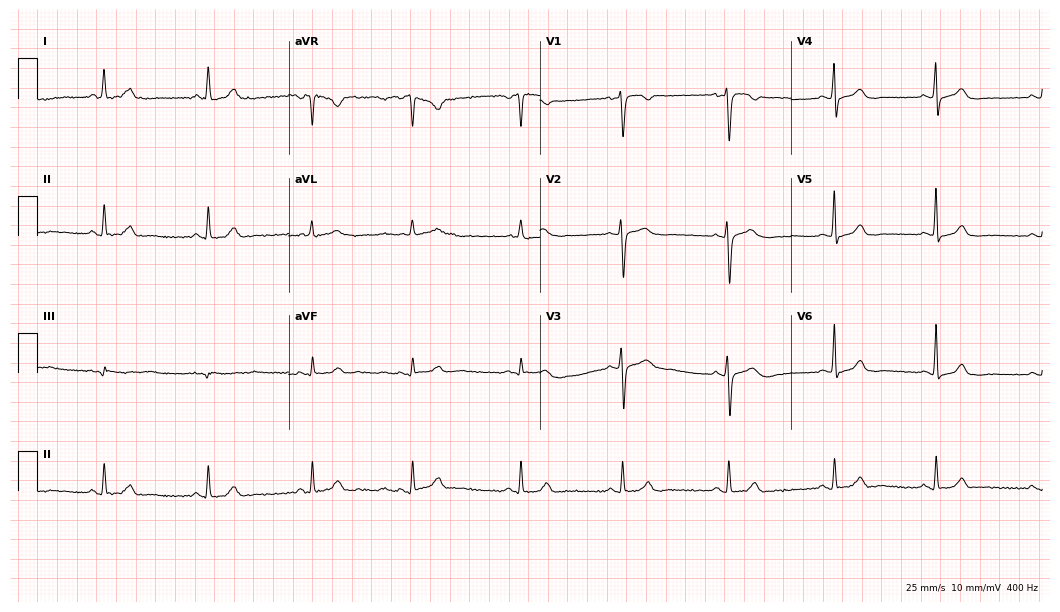
Electrocardiogram (10.2-second recording at 400 Hz), a 46-year-old female patient. Of the six screened findings (first-degree AV block, right bundle branch block, left bundle branch block, sinus bradycardia, atrial fibrillation, sinus tachycardia), none is recorded.